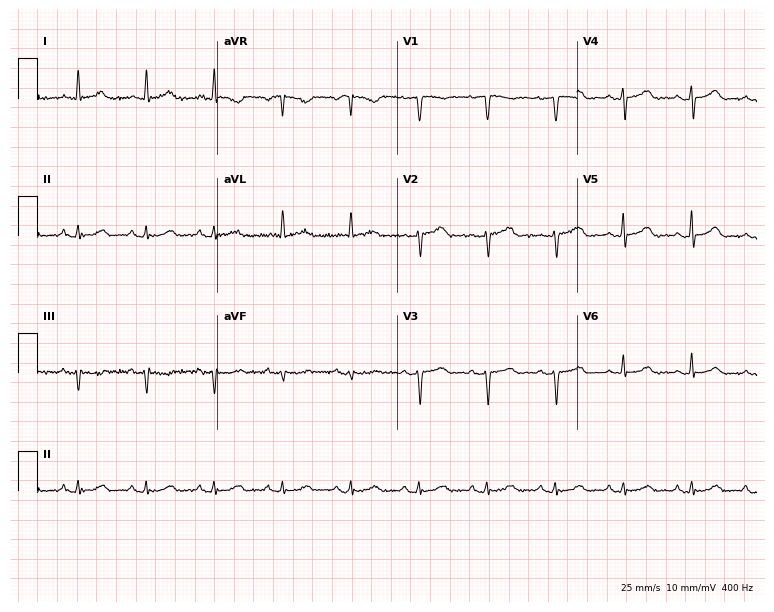
ECG — a female, 84 years old. Labelled as a normal ECG.